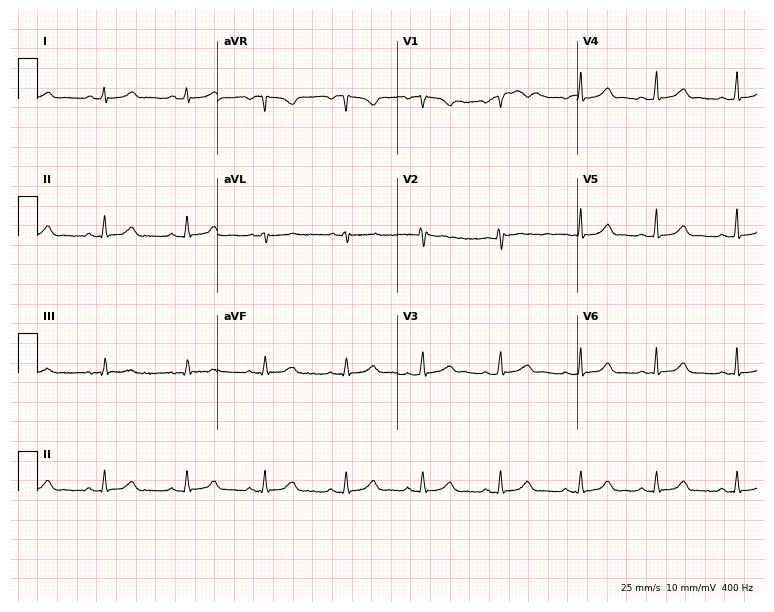
Electrocardiogram (7.3-second recording at 400 Hz), a woman, 22 years old. Overall reading on record: normal ECG.